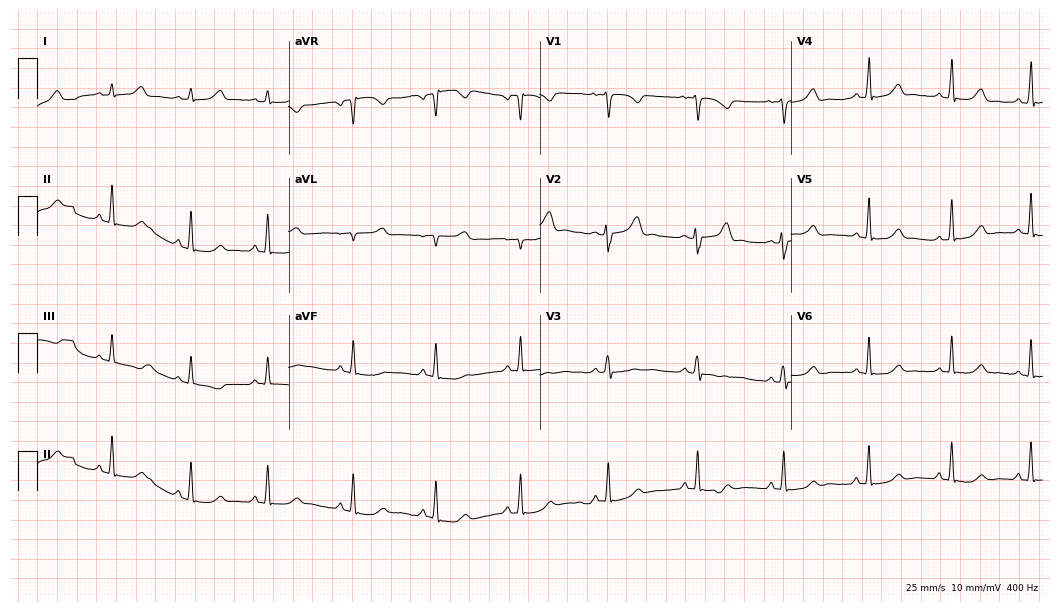
Resting 12-lead electrocardiogram. Patient: a 34-year-old female. Read as a normal ECG.